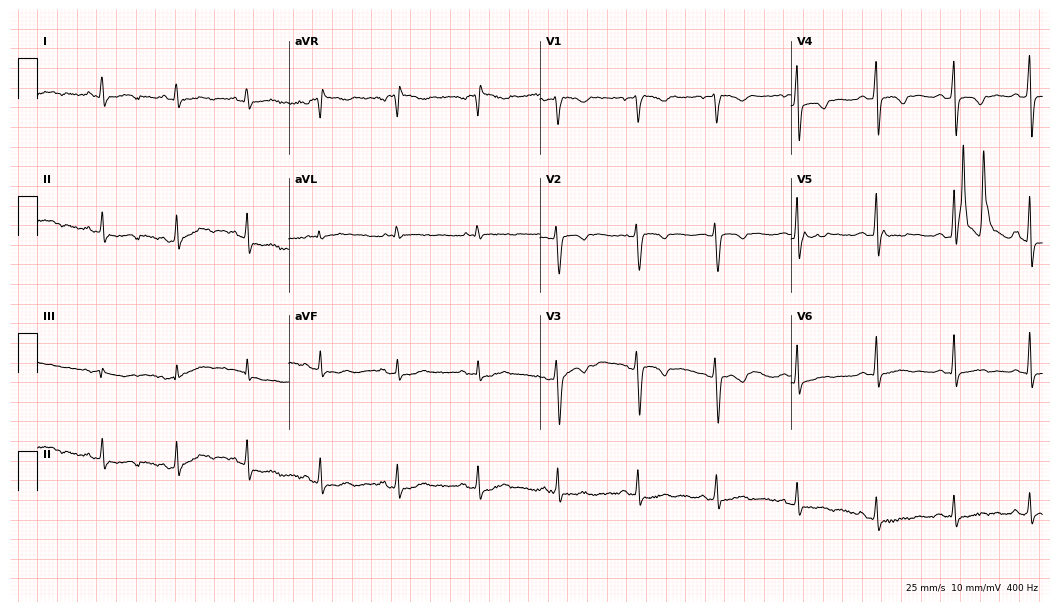
Standard 12-lead ECG recorded from a 28-year-old female. None of these six findings is recorded: first-degree AV block, right bundle branch block (RBBB), left bundle branch block (LBBB), sinus bradycardia, atrial fibrillation (AF), sinus tachycardia.